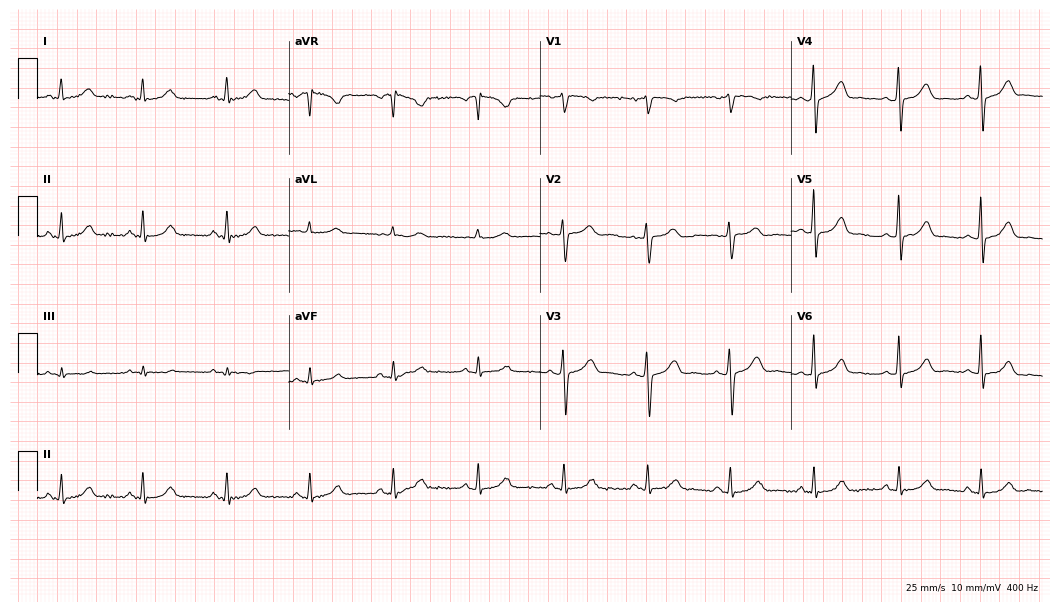
12-lead ECG from a 48-year-old female (10.2-second recording at 400 Hz). Recorded interpretation: within normal limits.